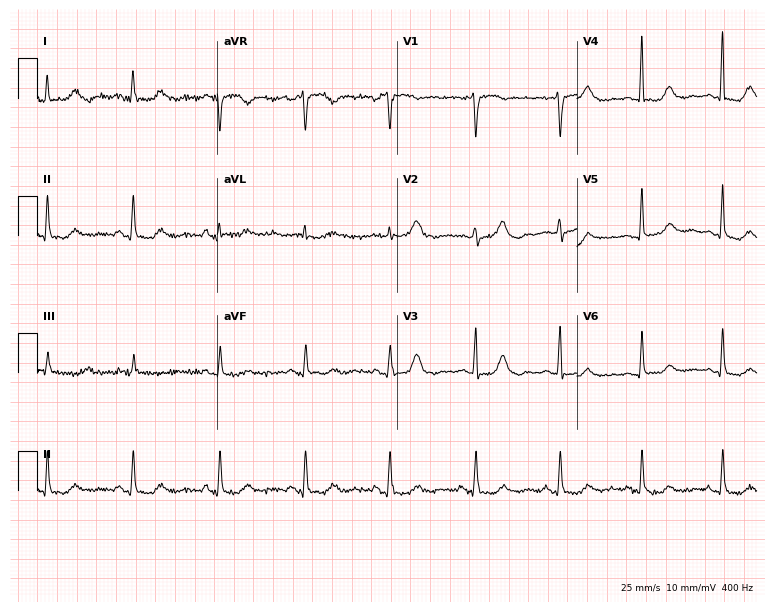
Electrocardiogram (7.3-second recording at 400 Hz), a 55-year-old female patient. Of the six screened findings (first-degree AV block, right bundle branch block (RBBB), left bundle branch block (LBBB), sinus bradycardia, atrial fibrillation (AF), sinus tachycardia), none is recorded. Only these six findings were labelled.